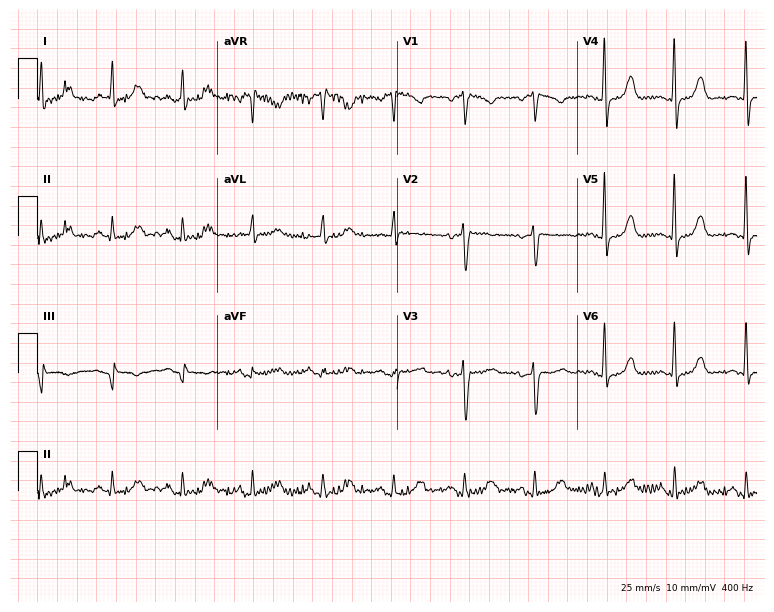
12-lead ECG from a 50-year-old female. Screened for six findings — first-degree AV block, right bundle branch block, left bundle branch block, sinus bradycardia, atrial fibrillation, sinus tachycardia — none is recorded. Other findings, if any, are not listed.